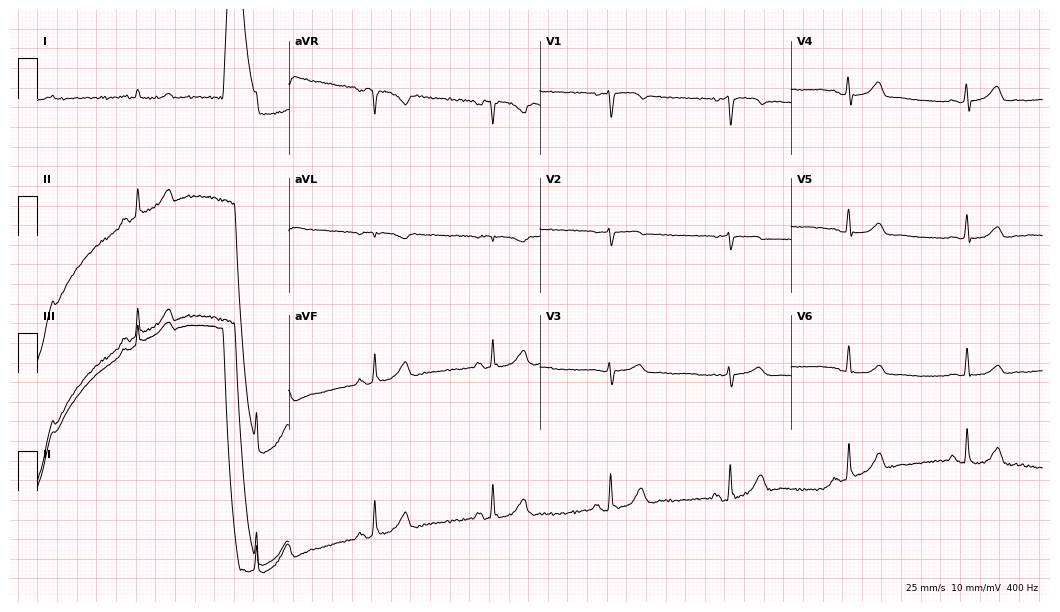
12-lead ECG from a male patient, 82 years old. Screened for six findings — first-degree AV block, right bundle branch block (RBBB), left bundle branch block (LBBB), sinus bradycardia, atrial fibrillation (AF), sinus tachycardia — none is recorded. Only these six findings were labelled.